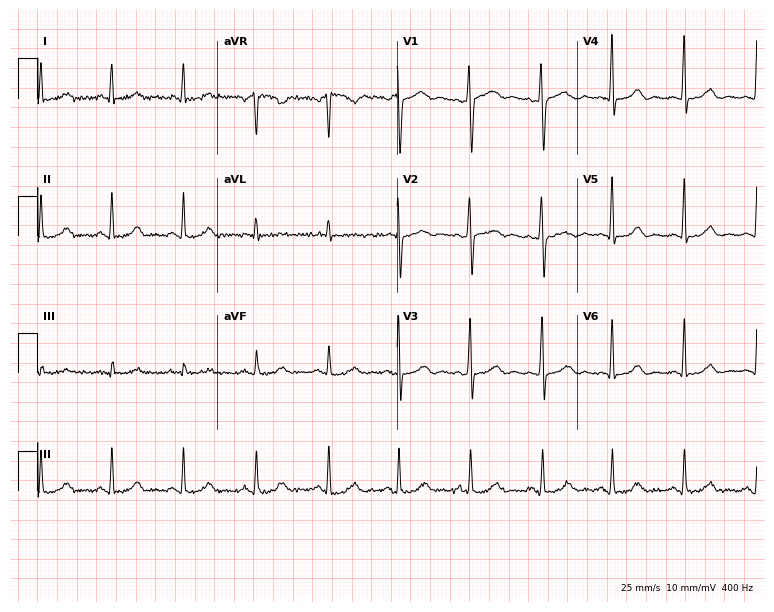
Electrocardiogram (7.3-second recording at 400 Hz), a 46-year-old female patient. Overall reading on record: normal ECG.